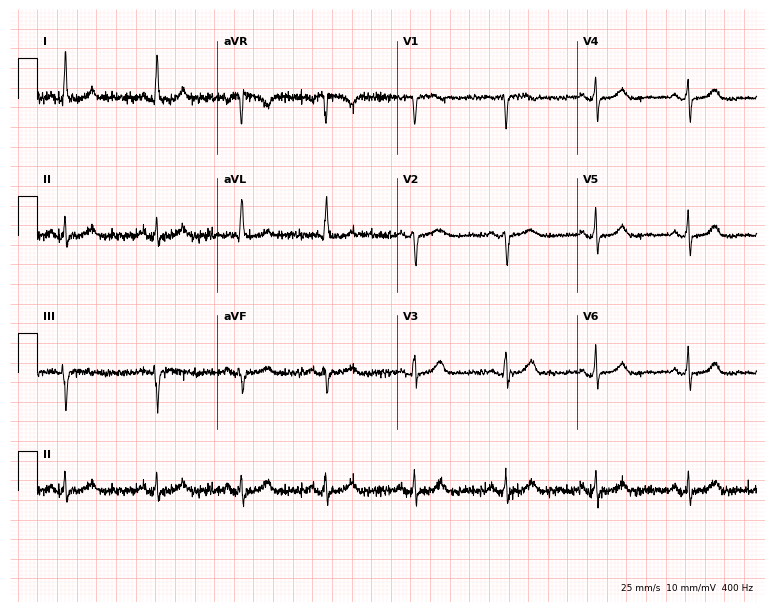
Standard 12-lead ECG recorded from a 67-year-old female (7.3-second recording at 400 Hz). Read as a normal ECG.